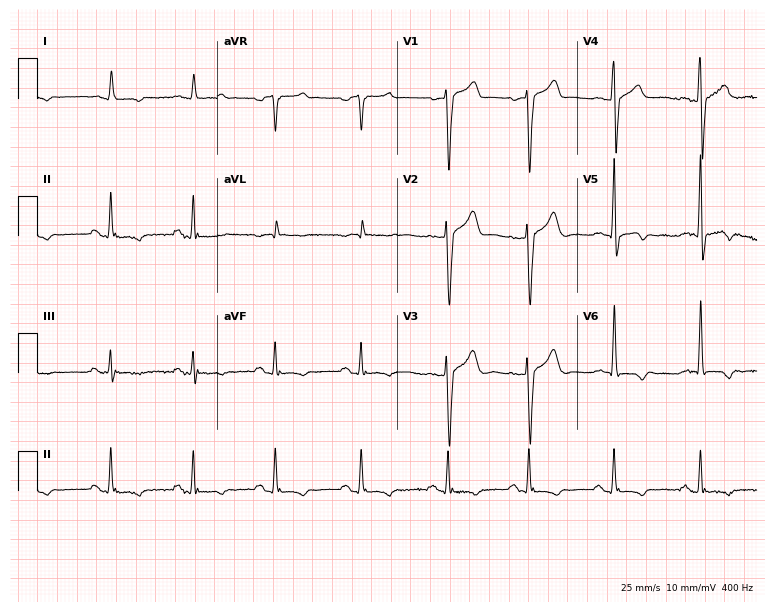
12-lead ECG from a 75-year-old male (7.3-second recording at 400 Hz). No first-degree AV block, right bundle branch block, left bundle branch block, sinus bradycardia, atrial fibrillation or sinus tachycardia recorded for this tracing.